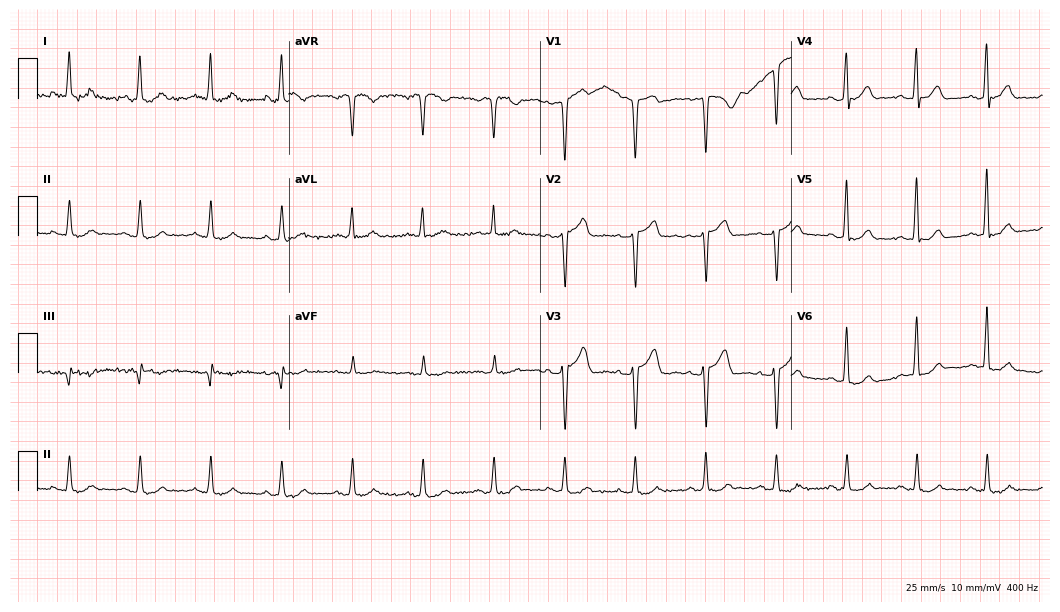
12-lead ECG (10.2-second recording at 400 Hz) from a male patient, 55 years old. Screened for six findings — first-degree AV block, right bundle branch block (RBBB), left bundle branch block (LBBB), sinus bradycardia, atrial fibrillation (AF), sinus tachycardia — none is recorded.